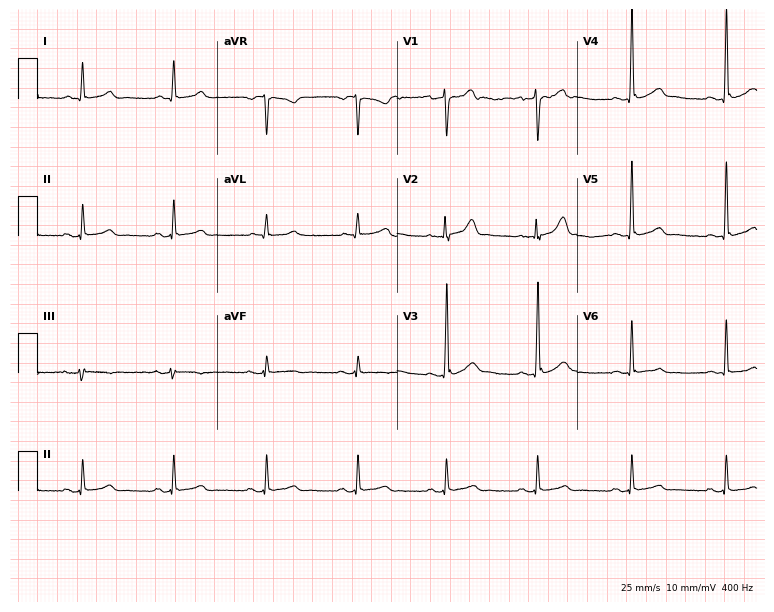
ECG (7.3-second recording at 400 Hz) — a 33-year-old man. Screened for six findings — first-degree AV block, right bundle branch block (RBBB), left bundle branch block (LBBB), sinus bradycardia, atrial fibrillation (AF), sinus tachycardia — none is recorded.